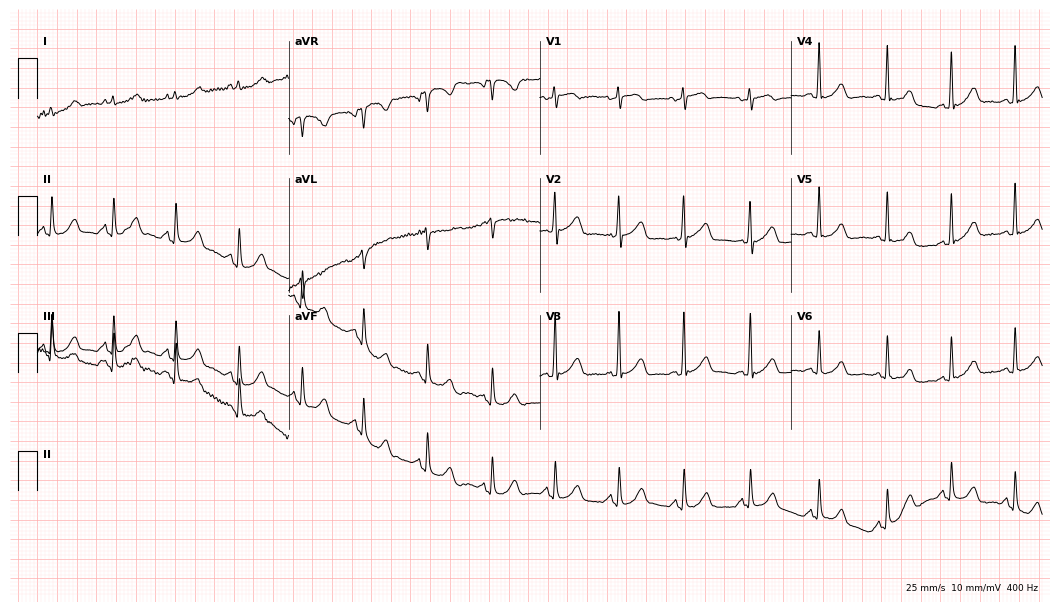
12-lead ECG from a 57-year-old female patient (10.2-second recording at 400 Hz). No first-degree AV block, right bundle branch block, left bundle branch block, sinus bradycardia, atrial fibrillation or sinus tachycardia recorded for this tracing. Findings outside these six are not listed.